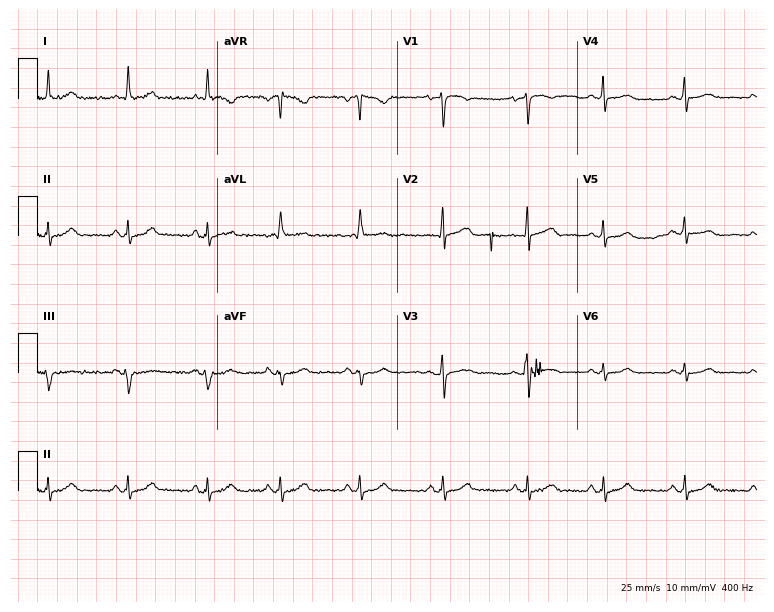
Standard 12-lead ECG recorded from a 49-year-old female patient. Read as a normal ECG.